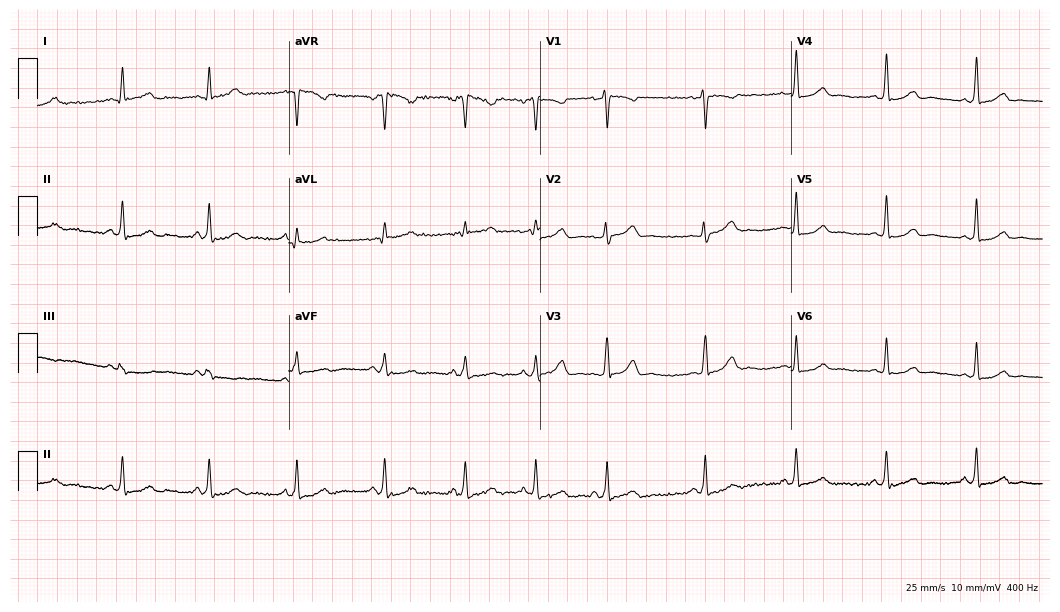
12-lead ECG (10.2-second recording at 400 Hz) from a female patient, 35 years old. Labelled as a normal ECG.